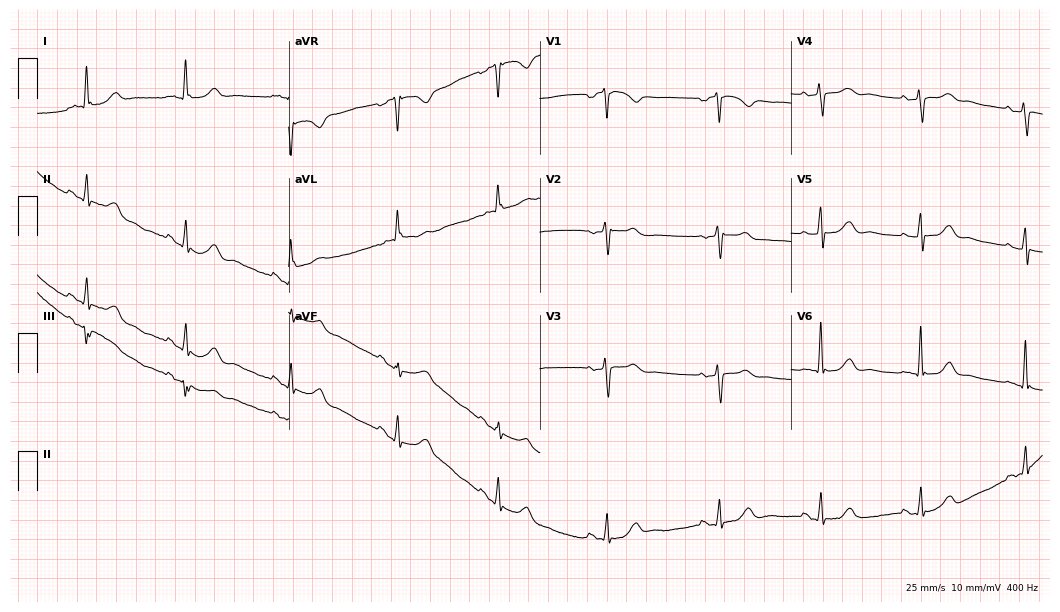
ECG — a 79-year-old female patient. Screened for six findings — first-degree AV block, right bundle branch block, left bundle branch block, sinus bradycardia, atrial fibrillation, sinus tachycardia — none is recorded. Findings outside these six are not listed.